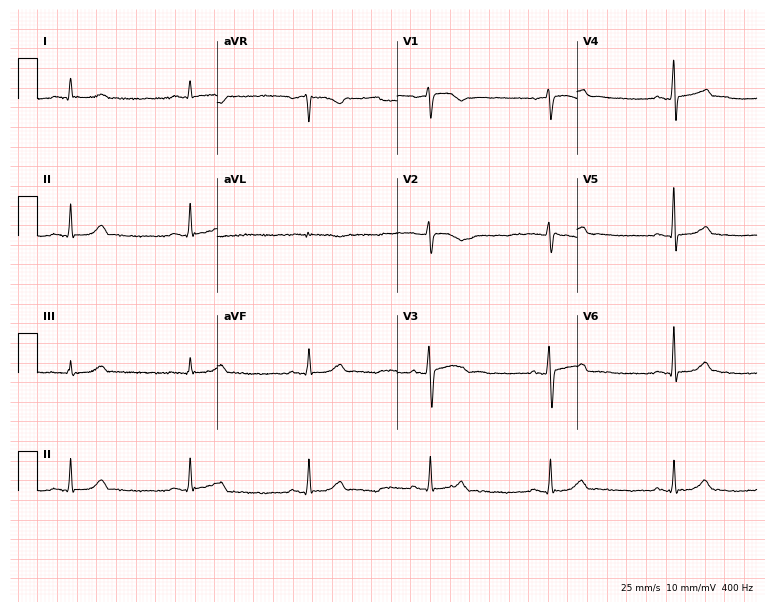
Resting 12-lead electrocardiogram. Patient: a 70-year-old male. The tracing shows sinus bradycardia (a sinus rate of 50 beats per minute or less).